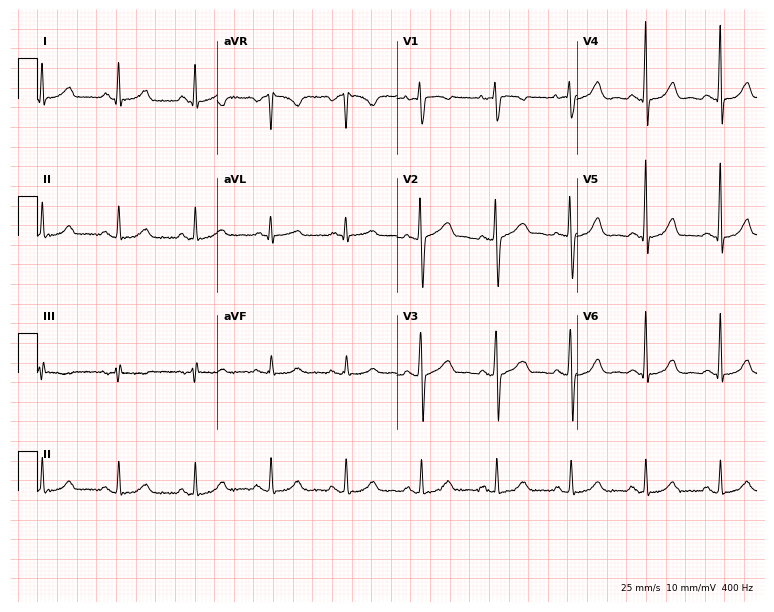
Resting 12-lead electrocardiogram (7.3-second recording at 400 Hz). Patient: a 48-year-old woman. Read as a normal ECG.